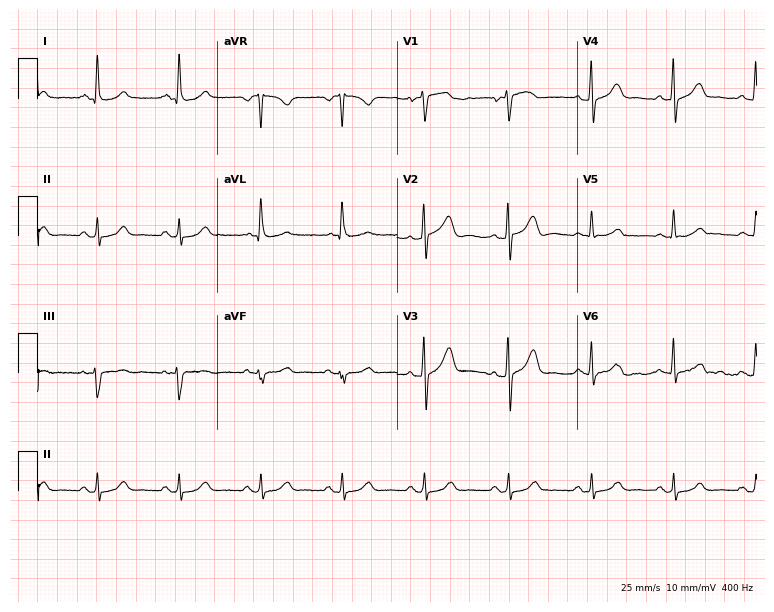
12-lead ECG from a 53-year-old woman. Recorded interpretation: within normal limits.